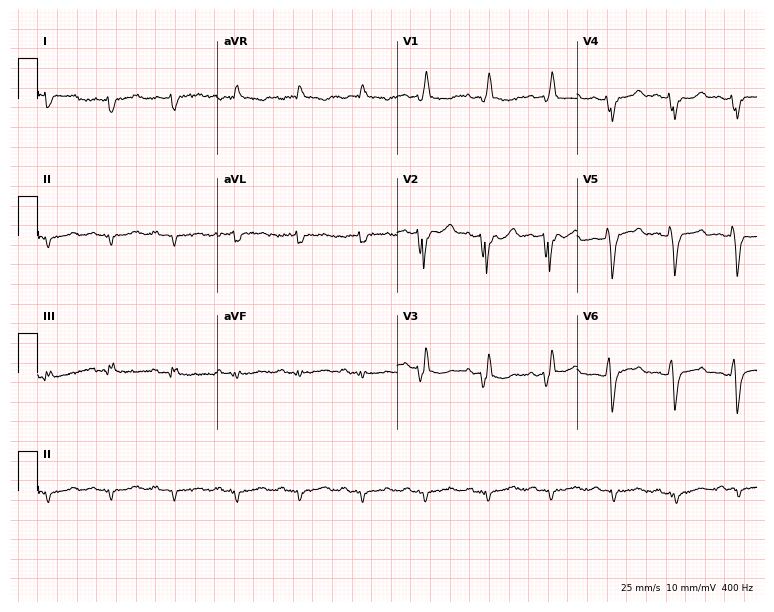
12-lead ECG from a male patient, 67 years old. Screened for six findings — first-degree AV block, right bundle branch block (RBBB), left bundle branch block (LBBB), sinus bradycardia, atrial fibrillation (AF), sinus tachycardia — none is recorded. Other findings, if any, are not listed.